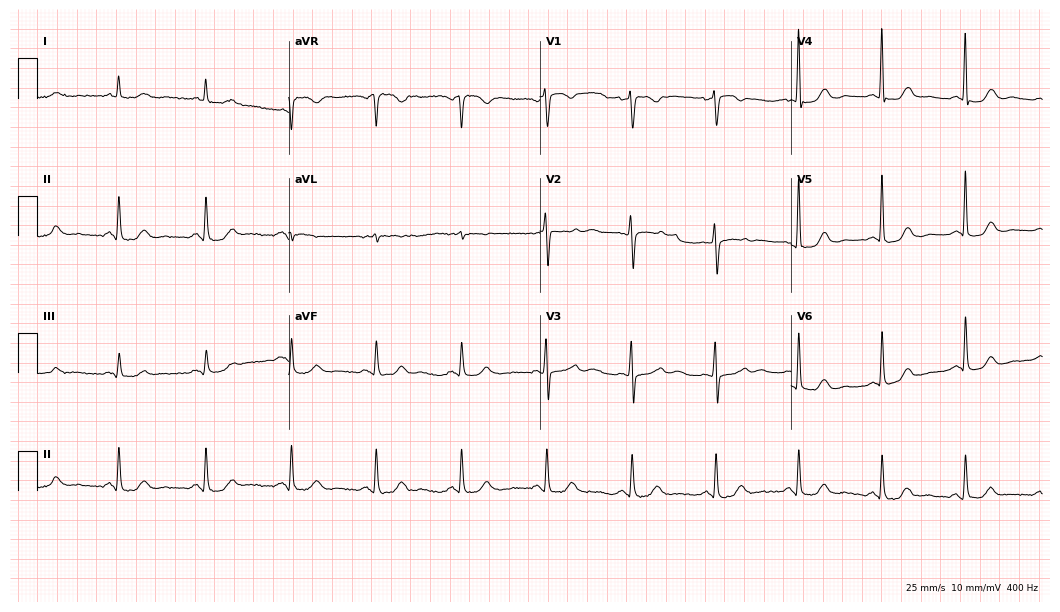
12-lead ECG from a female patient, 63 years old. Screened for six findings — first-degree AV block, right bundle branch block, left bundle branch block, sinus bradycardia, atrial fibrillation, sinus tachycardia — none is recorded. Only these six findings were labelled.